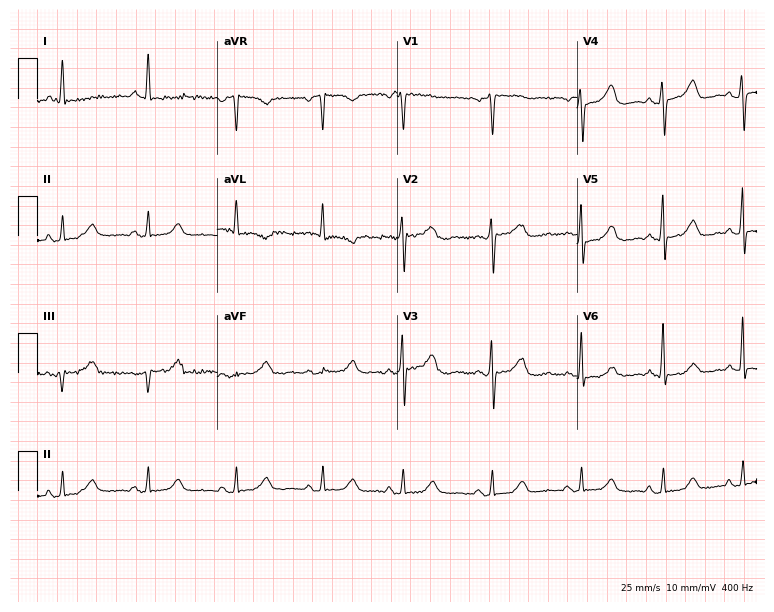
Standard 12-lead ECG recorded from a female, 55 years old (7.3-second recording at 400 Hz). None of these six findings is recorded: first-degree AV block, right bundle branch block, left bundle branch block, sinus bradycardia, atrial fibrillation, sinus tachycardia. Only these six findings were labelled.